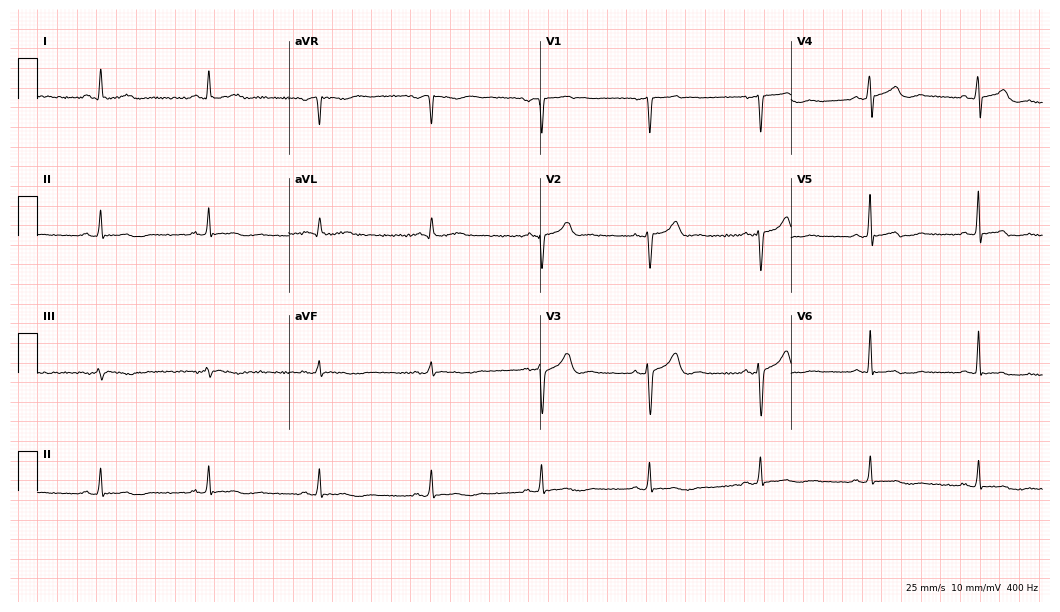
12-lead ECG from a 54-year-old male patient. Labelled as a normal ECG.